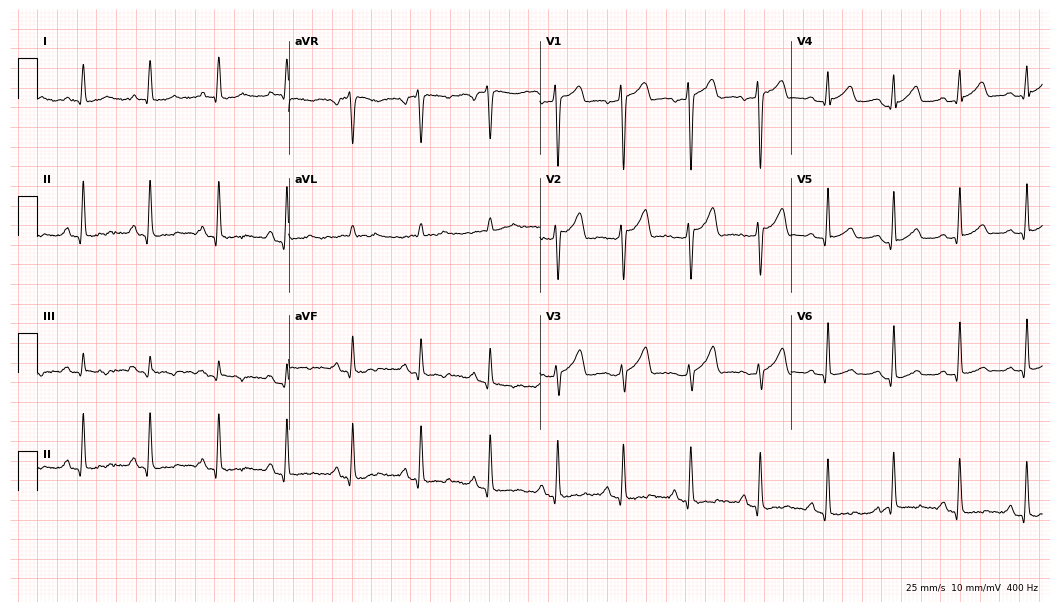
Resting 12-lead electrocardiogram. Patient: a female, 27 years old. None of these six findings is recorded: first-degree AV block, right bundle branch block, left bundle branch block, sinus bradycardia, atrial fibrillation, sinus tachycardia. Only these six findings were labelled.